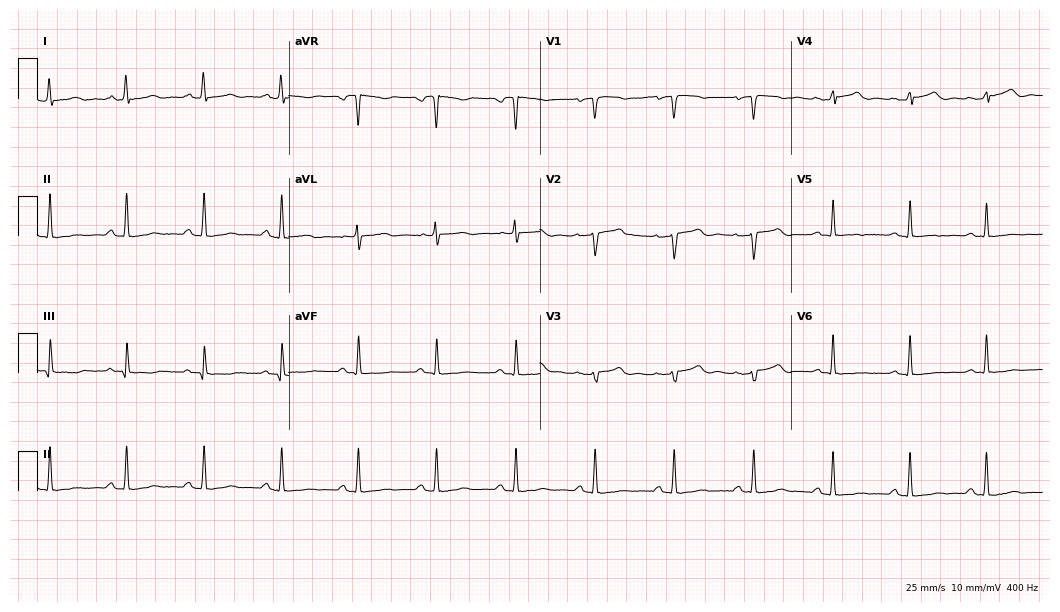
ECG (10.2-second recording at 400 Hz) — a 47-year-old female patient. Screened for six findings — first-degree AV block, right bundle branch block, left bundle branch block, sinus bradycardia, atrial fibrillation, sinus tachycardia — none is recorded.